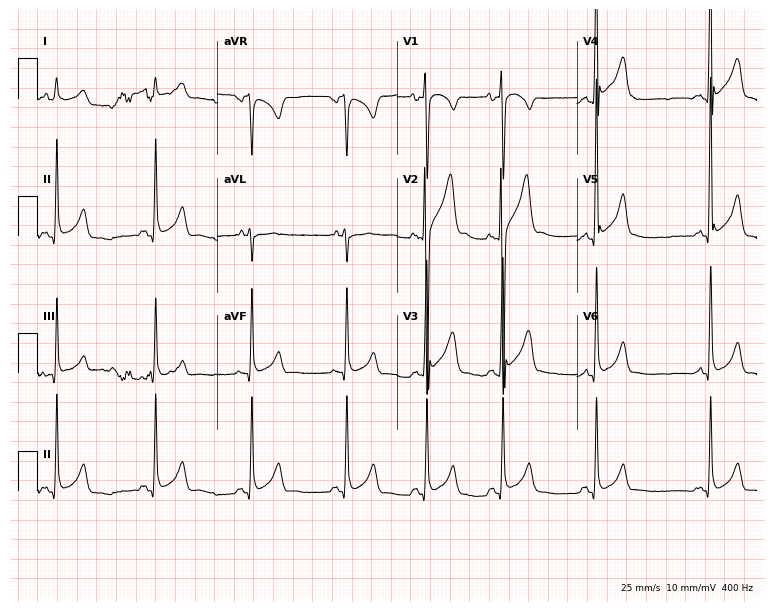
Standard 12-lead ECG recorded from a man, 21 years old. None of these six findings is recorded: first-degree AV block, right bundle branch block, left bundle branch block, sinus bradycardia, atrial fibrillation, sinus tachycardia.